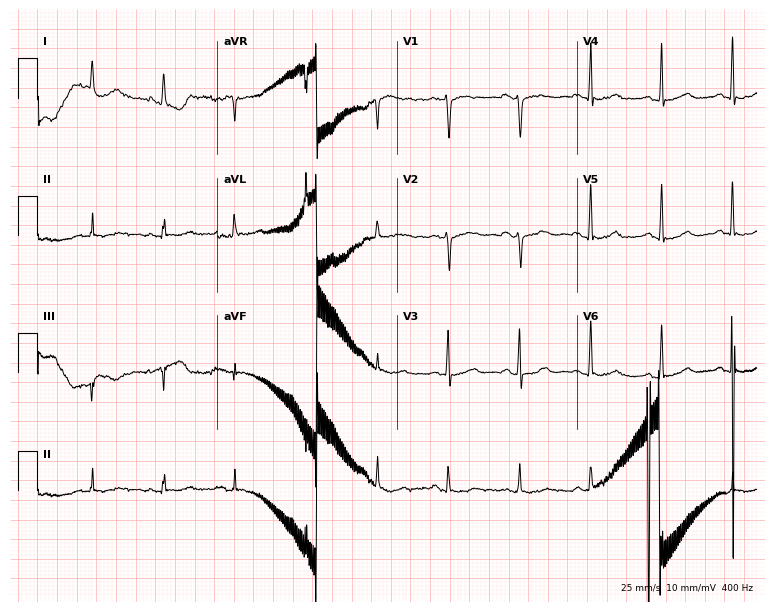
Resting 12-lead electrocardiogram (7.3-second recording at 400 Hz). Patient: a female, 56 years old. None of these six findings is recorded: first-degree AV block, right bundle branch block, left bundle branch block, sinus bradycardia, atrial fibrillation, sinus tachycardia. Other findings, if any, are not listed.